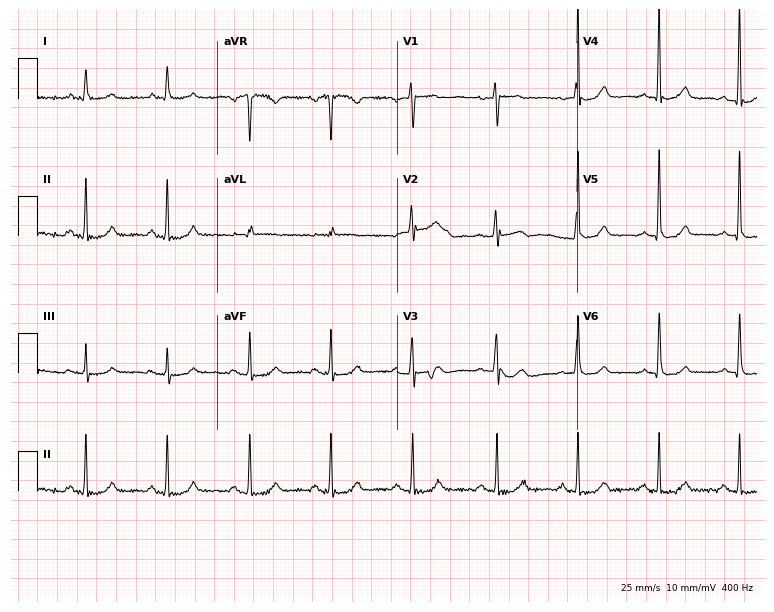
Electrocardiogram (7.3-second recording at 400 Hz), a female patient, 67 years old. Overall reading on record: normal ECG.